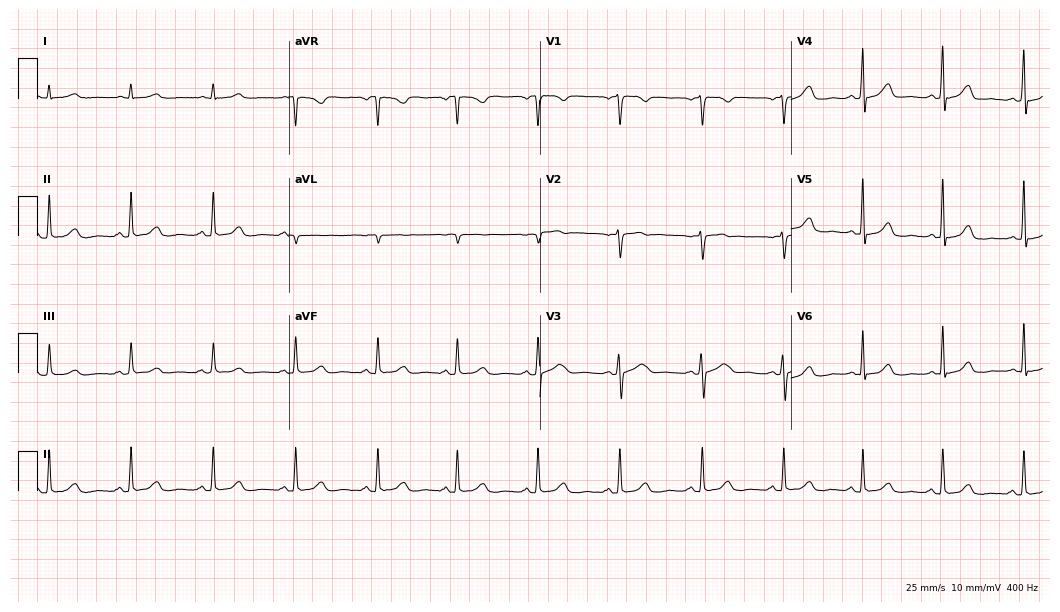
Electrocardiogram, a female patient, 57 years old. Of the six screened findings (first-degree AV block, right bundle branch block, left bundle branch block, sinus bradycardia, atrial fibrillation, sinus tachycardia), none is recorded. Other findings, if any, are not listed.